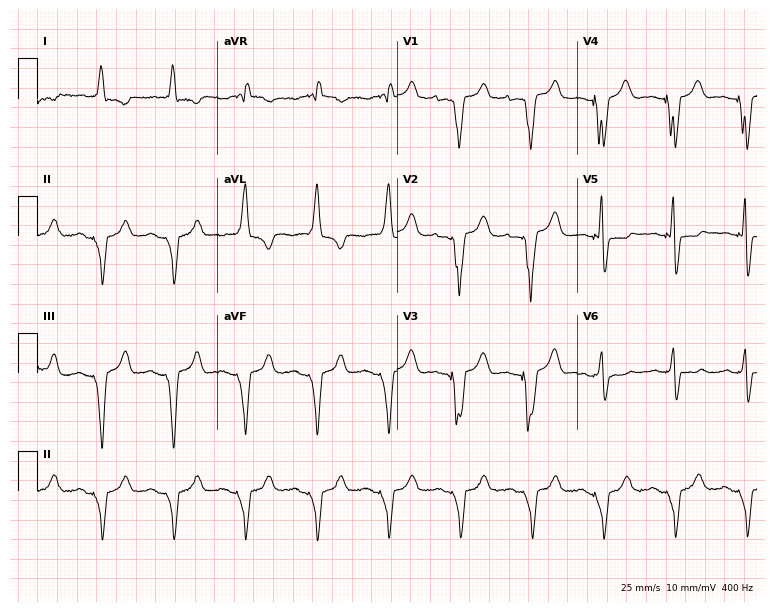
Resting 12-lead electrocardiogram. Patient: a woman, 85 years old. None of these six findings is recorded: first-degree AV block, right bundle branch block, left bundle branch block, sinus bradycardia, atrial fibrillation, sinus tachycardia.